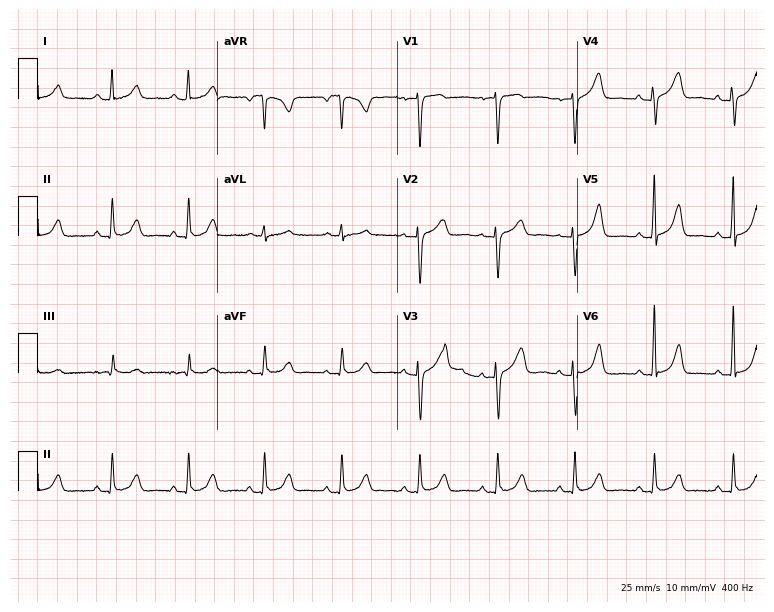
Electrocardiogram (7.3-second recording at 400 Hz), a female, 61 years old. Overall reading on record: normal ECG.